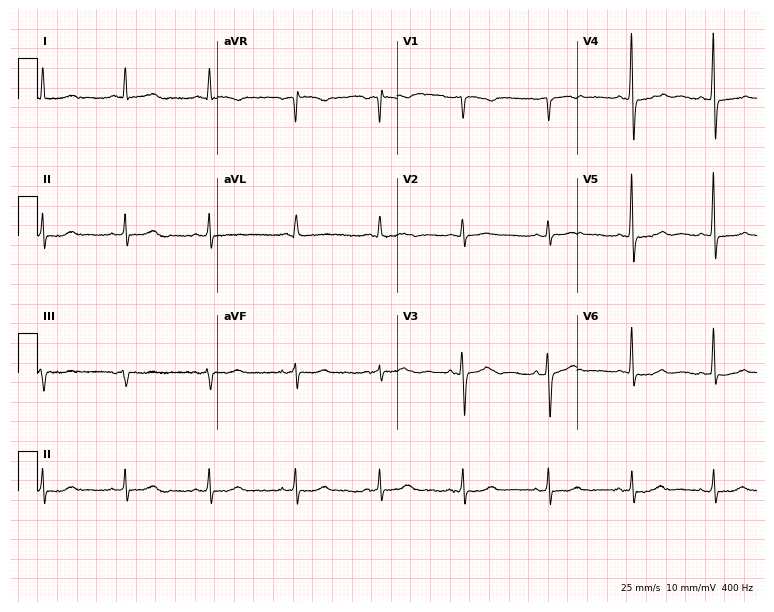
12-lead ECG from a 55-year-old female patient. Screened for six findings — first-degree AV block, right bundle branch block (RBBB), left bundle branch block (LBBB), sinus bradycardia, atrial fibrillation (AF), sinus tachycardia — none is recorded.